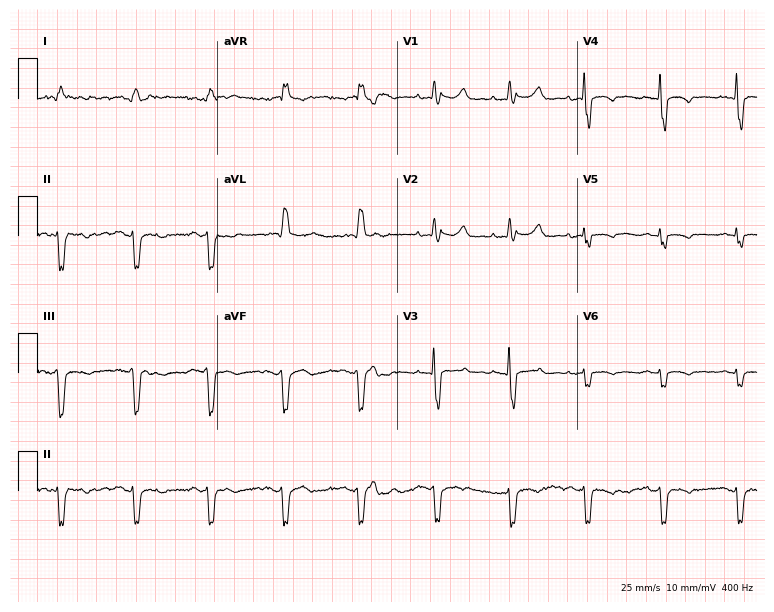
Resting 12-lead electrocardiogram. Patient: a male, 71 years old. None of these six findings is recorded: first-degree AV block, right bundle branch block, left bundle branch block, sinus bradycardia, atrial fibrillation, sinus tachycardia.